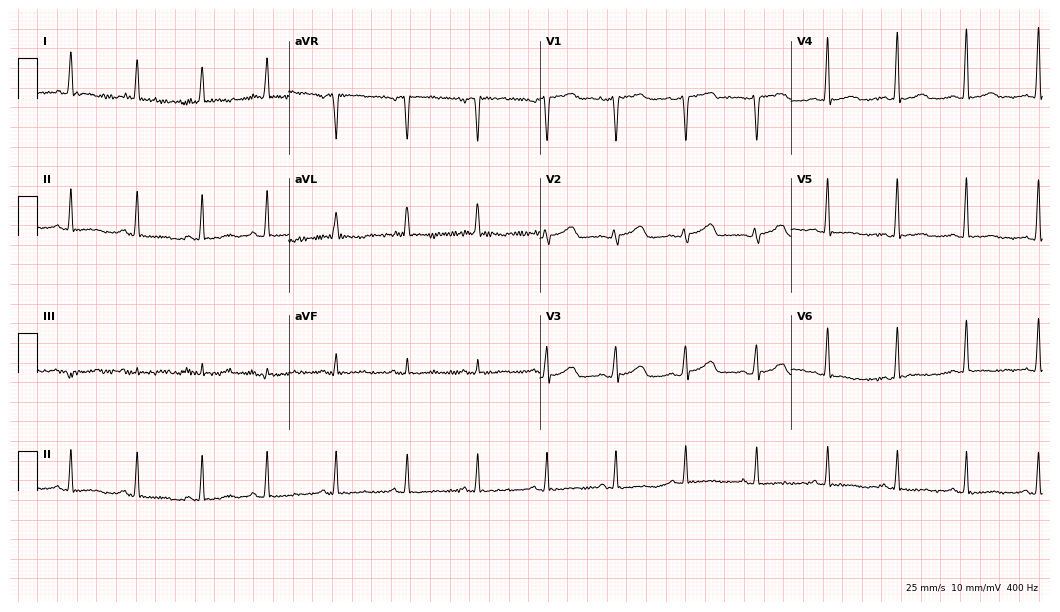
Standard 12-lead ECG recorded from a 42-year-old woman. Read as a normal ECG.